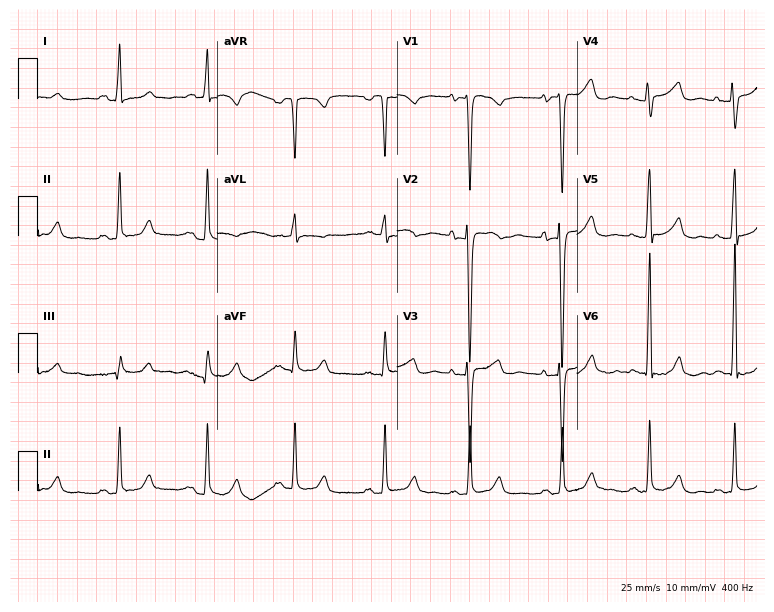
ECG (7.3-second recording at 400 Hz) — a 32-year-old woman. Labelled as a normal ECG.